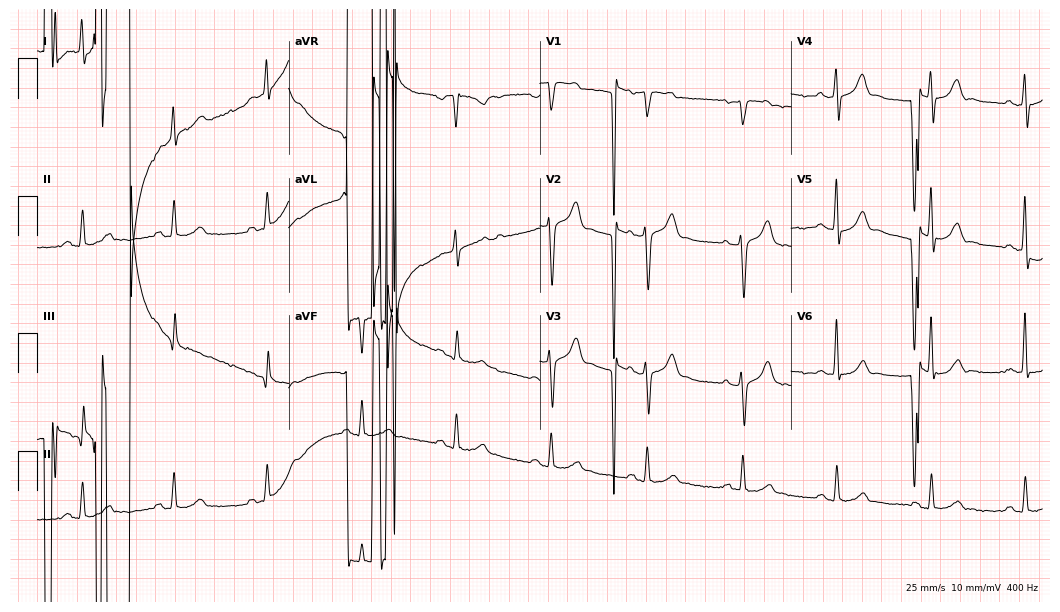
Resting 12-lead electrocardiogram (10.2-second recording at 400 Hz). Patient: a 61-year-old male. None of these six findings is recorded: first-degree AV block, right bundle branch block, left bundle branch block, sinus bradycardia, atrial fibrillation, sinus tachycardia. Other findings, if any, are not listed.